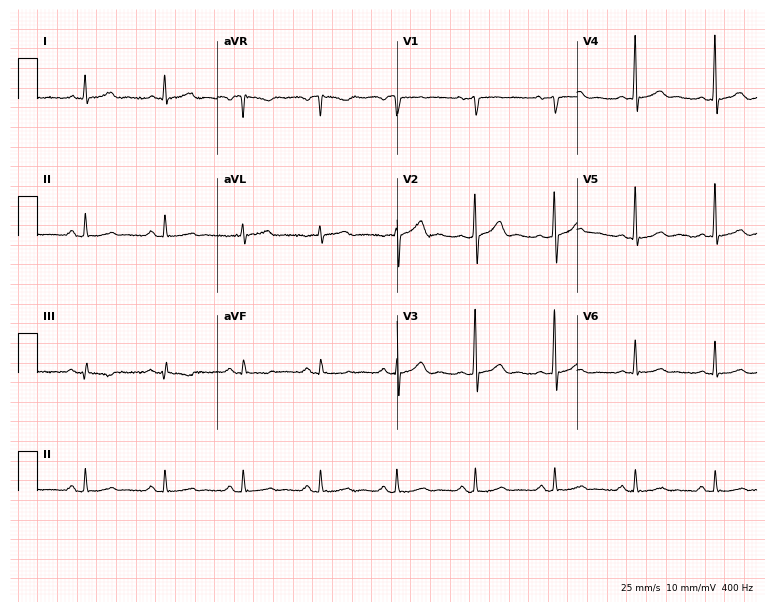
ECG (7.3-second recording at 400 Hz) — a 47-year-old male patient. Screened for six findings — first-degree AV block, right bundle branch block, left bundle branch block, sinus bradycardia, atrial fibrillation, sinus tachycardia — none is recorded. Other findings, if any, are not listed.